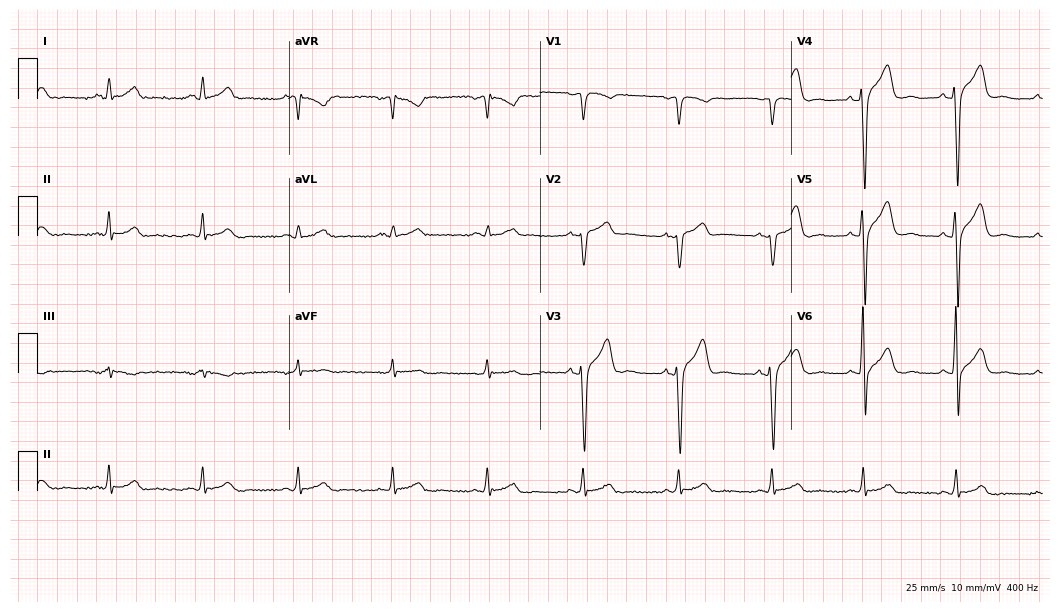
Standard 12-lead ECG recorded from a 57-year-old male. Read as a normal ECG.